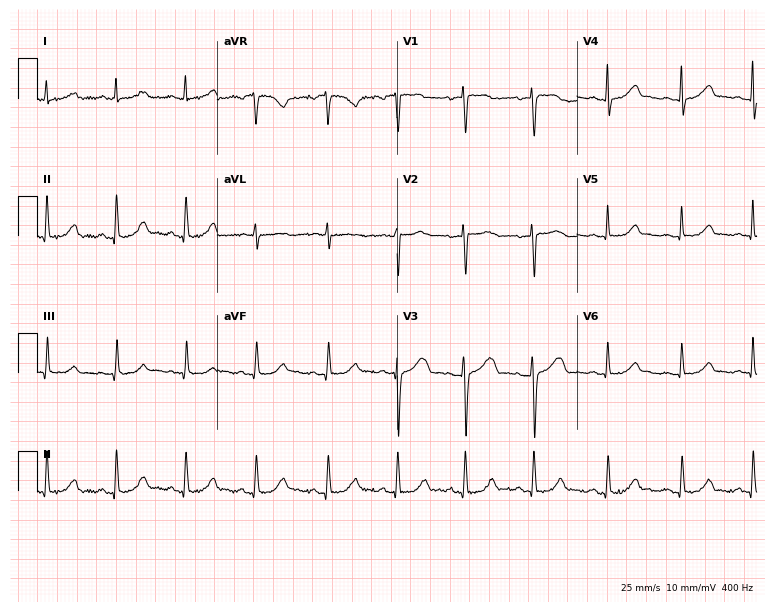
ECG — a woman, 38 years old. Labelled as a normal ECG.